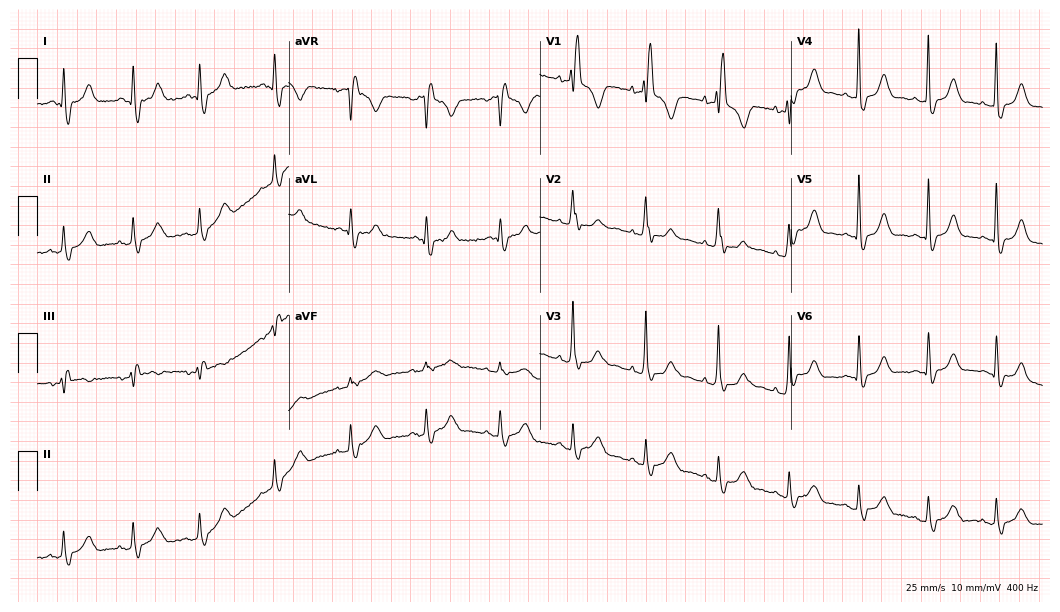
Resting 12-lead electrocardiogram (10.2-second recording at 400 Hz). Patient: a female, 69 years old. The tracing shows right bundle branch block (RBBB).